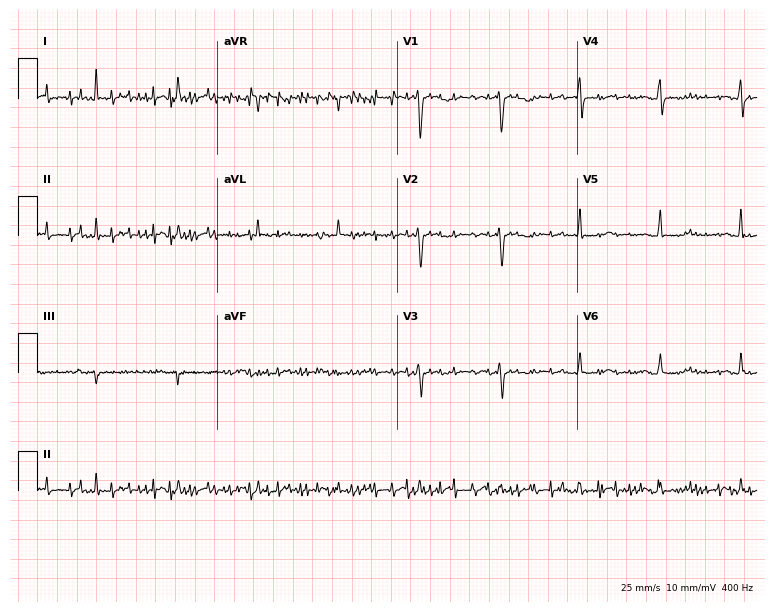
12-lead ECG from a woman, 55 years old. Screened for six findings — first-degree AV block, right bundle branch block, left bundle branch block, sinus bradycardia, atrial fibrillation, sinus tachycardia — none is recorded. Other findings, if any, are not listed.